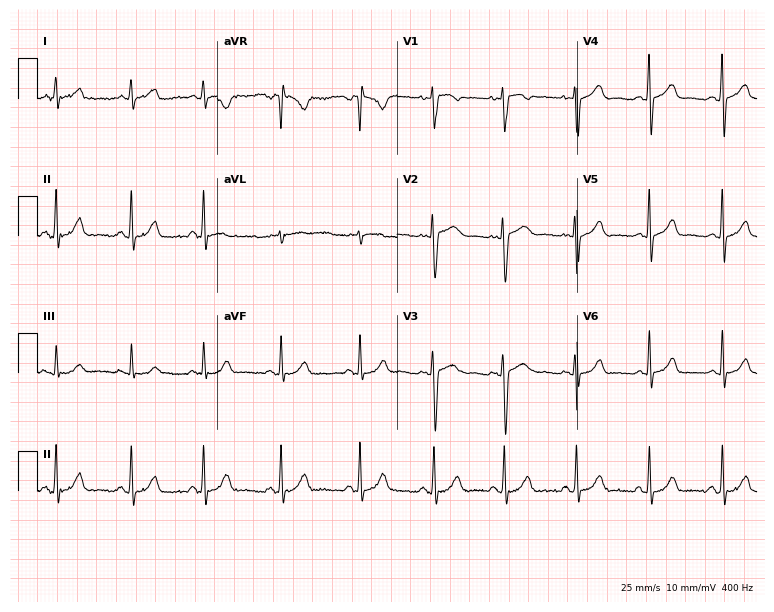
Standard 12-lead ECG recorded from a female patient, 17 years old. None of these six findings is recorded: first-degree AV block, right bundle branch block (RBBB), left bundle branch block (LBBB), sinus bradycardia, atrial fibrillation (AF), sinus tachycardia.